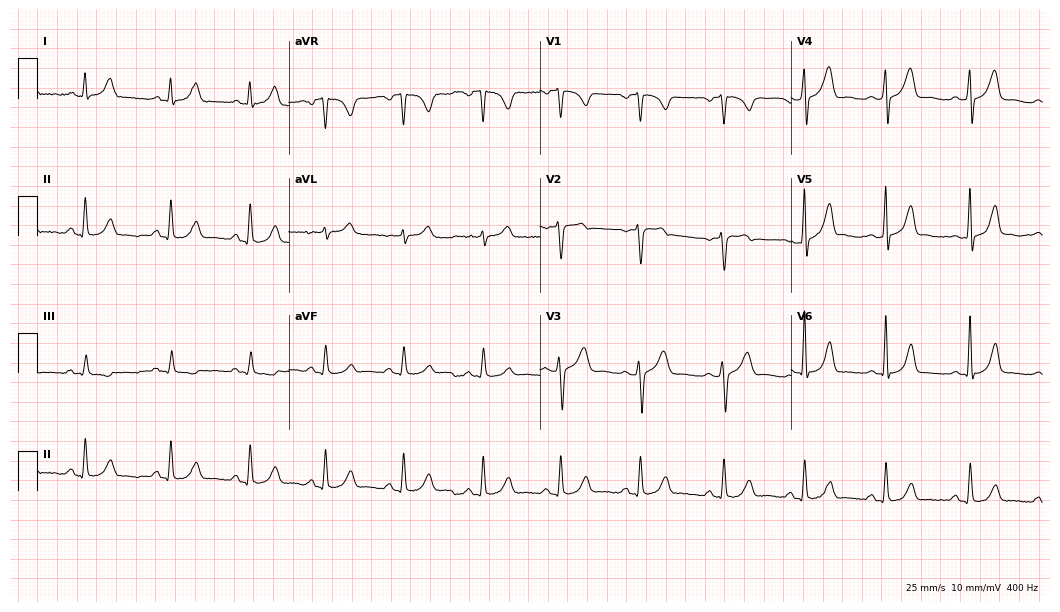
12-lead ECG from a female patient, 26 years old. Screened for six findings — first-degree AV block, right bundle branch block, left bundle branch block, sinus bradycardia, atrial fibrillation, sinus tachycardia — none is recorded.